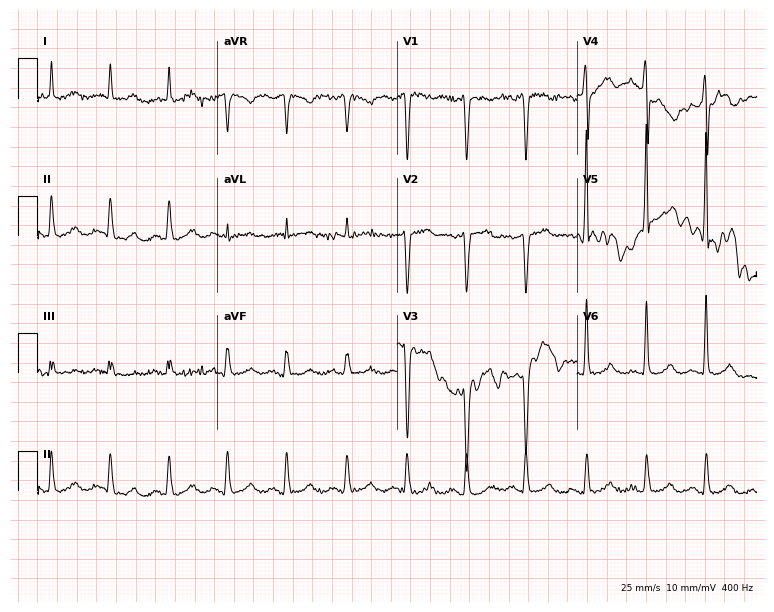
12-lead ECG (7.3-second recording at 400 Hz) from a 63-year-old male patient. Screened for six findings — first-degree AV block, right bundle branch block, left bundle branch block, sinus bradycardia, atrial fibrillation, sinus tachycardia — none is recorded.